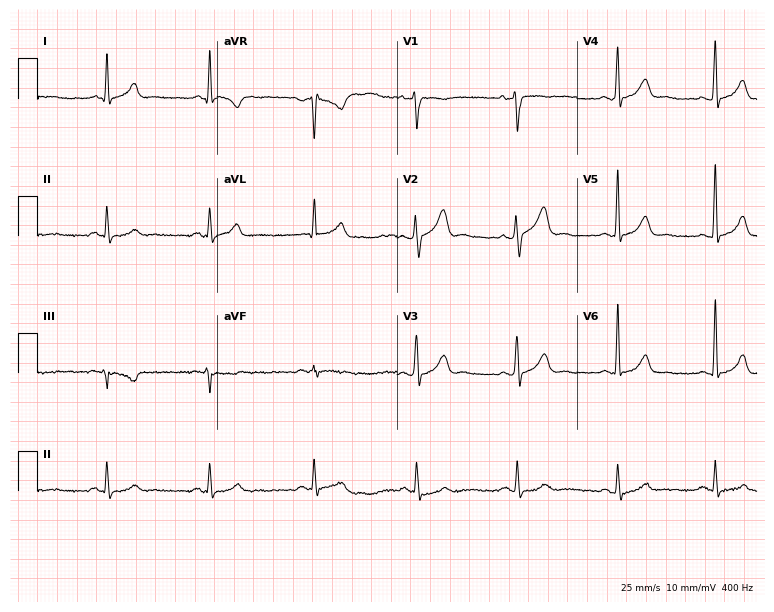
Standard 12-lead ECG recorded from a 39-year-old male. Read as a normal ECG.